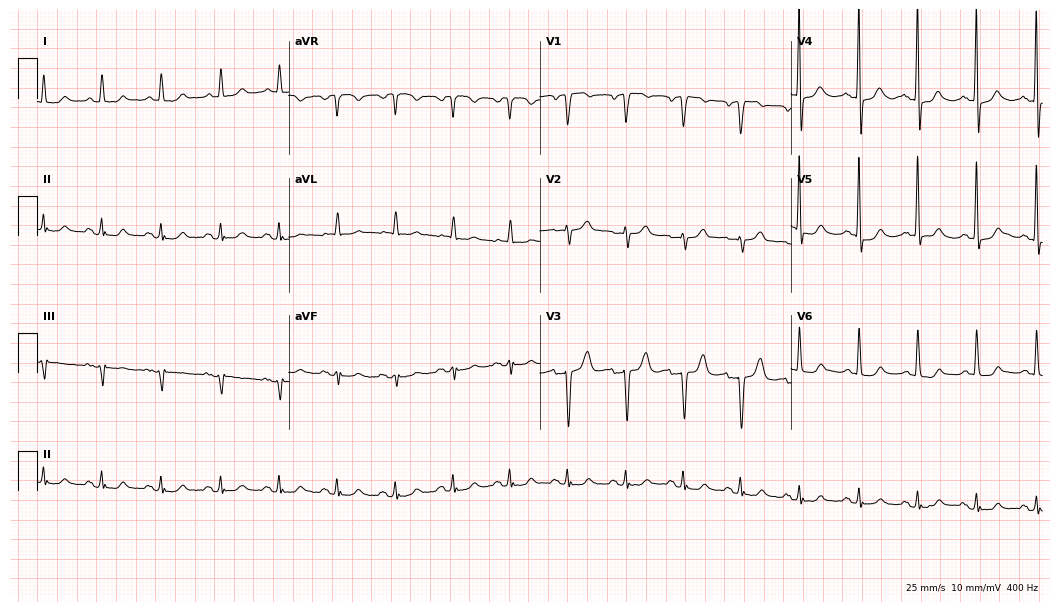
12-lead ECG from a woman, 84 years old. Shows sinus tachycardia (a sinus rate of 100 beats per minute or more).